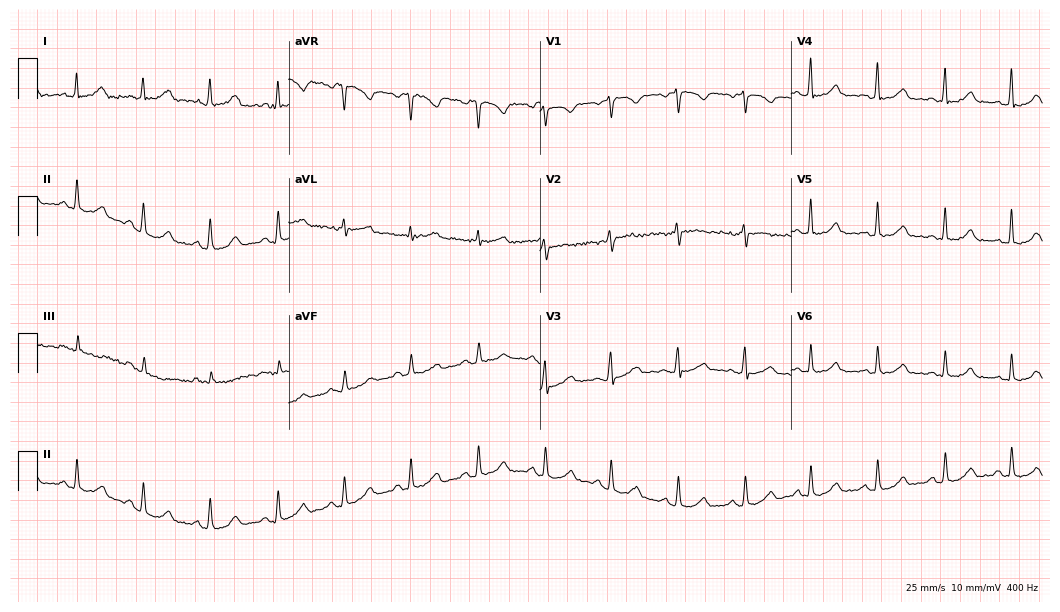
ECG (10.2-second recording at 400 Hz) — a 41-year-old woman. Labelled as a normal ECG.